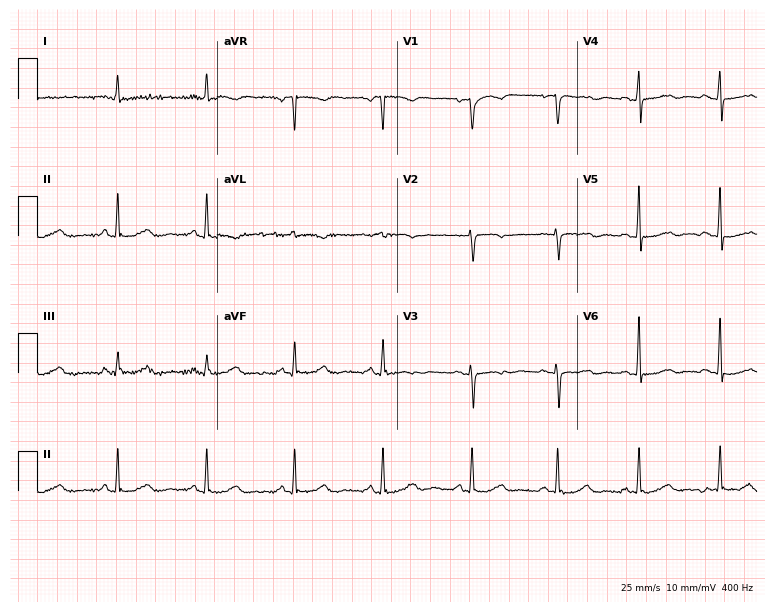
ECG (7.3-second recording at 400 Hz) — a female patient, 81 years old. Screened for six findings — first-degree AV block, right bundle branch block (RBBB), left bundle branch block (LBBB), sinus bradycardia, atrial fibrillation (AF), sinus tachycardia — none is recorded. Only these six findings were labelled.